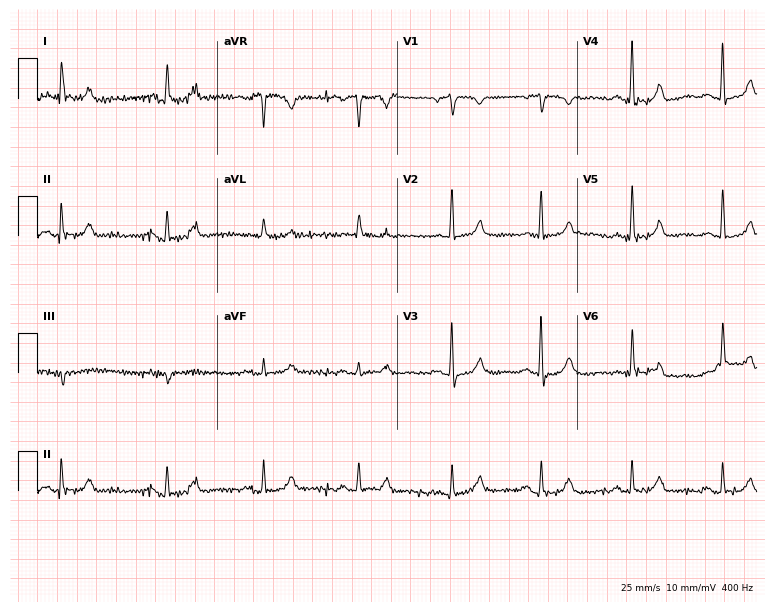
Resting 12-lead electrocardiogram (7.3-second recording at 400 Hz). Patient: a 76-year-old woman. Read as a normal ECG.